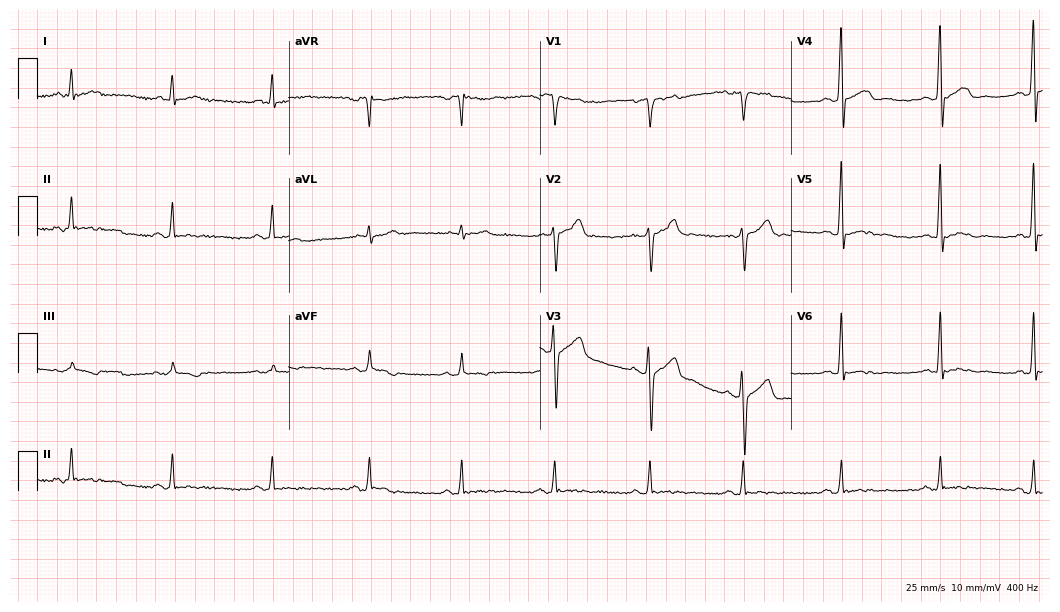
ECG (10.2-second recording at 400 Hz) — a 46-year-old man. Screened for six findings — first-degree AV block, right bundle branch block, left bundle branch block, sinus bradycardia, atrial fibrillation, sinus tachycardia — none is recorded.